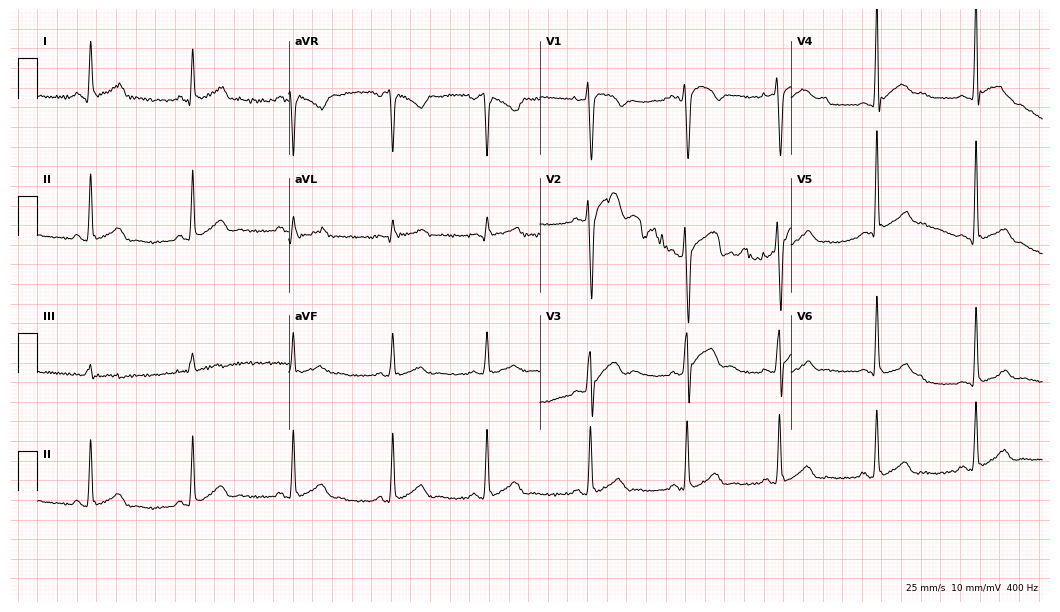
12-lead ECG (10.2-second recording at 400 Hz) from a male patient, 40 years old. Screened for six findings — first-degree AV block, right bundle branch block (RBBB), left bundle branch block (LBBB), sinus bradycardia, atrial fibrillation (AF), sinus tachycardia — none is recorded.